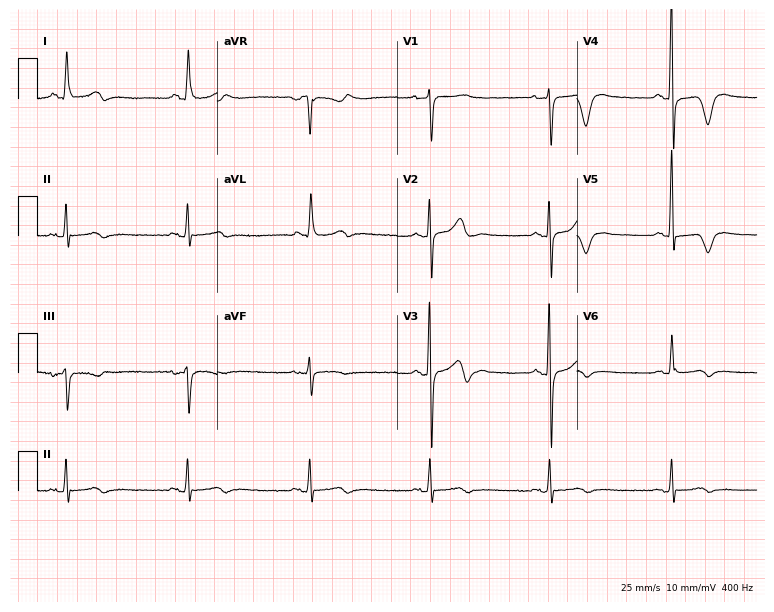
Standard 12-lead ECG recorded from a 69-year-old female. The tracing shows sinus bradycardia (a sinus rate of 50 beats per minute or less).